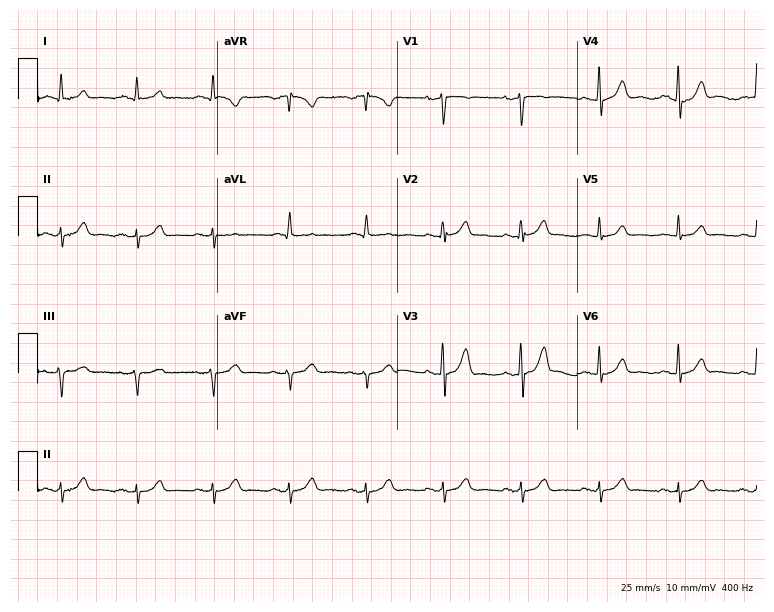
Resting 12-lead electrocardiogram. Patient: a 62-year-old male. None of these six findings is recorded: first-degree AV block, right bundle branch block, left bundle branch block, sinus bradycardia, atrial fibrillation, sinus tachycardia. Only these six findings were labelled.